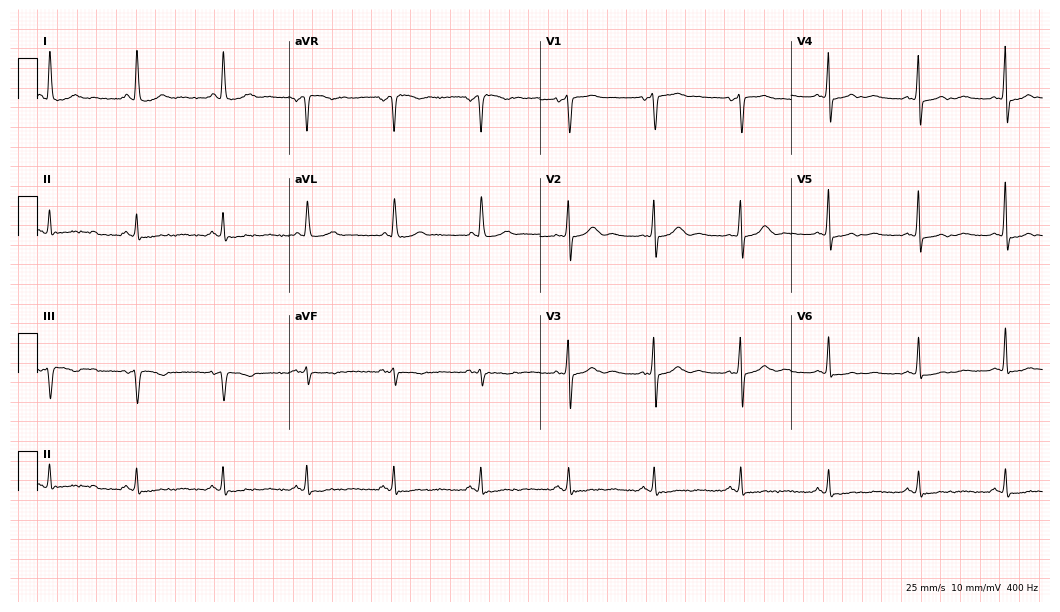
Resting 12-lead electrocardiogram (10.2-second recording at 400 Hz). Patient: a female, 57 years old. None of these six findings is recorded: first-degree AV block, right bundle branch block, left bundle branch block, sinus bradycardia, atrial fibrillation, sinus tachycardia.